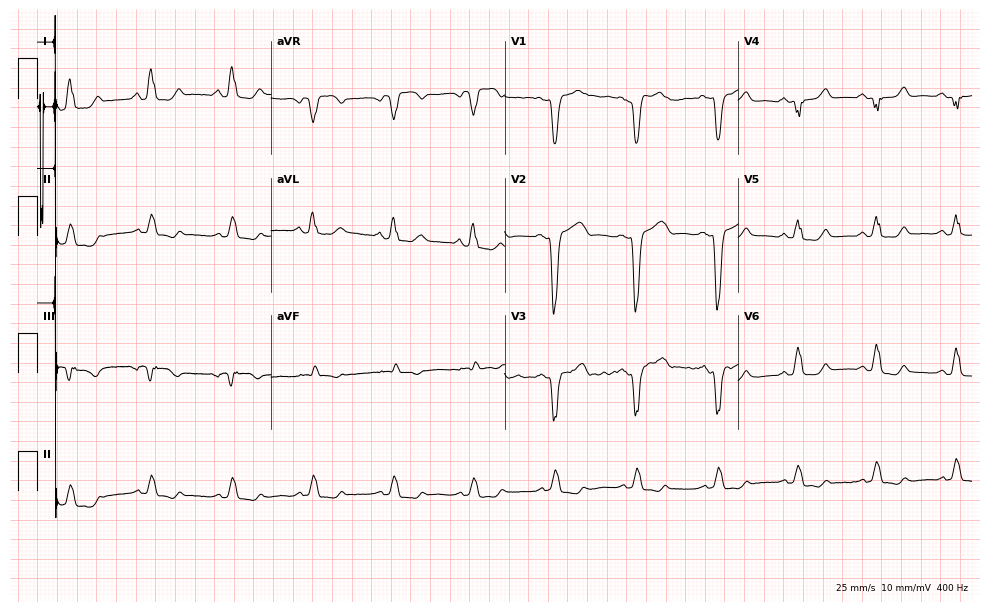
Electrocardiogram (9.5-second recording at 400 Hz), a 69-year-old female patient. Interpretation includes left bundle branch block.